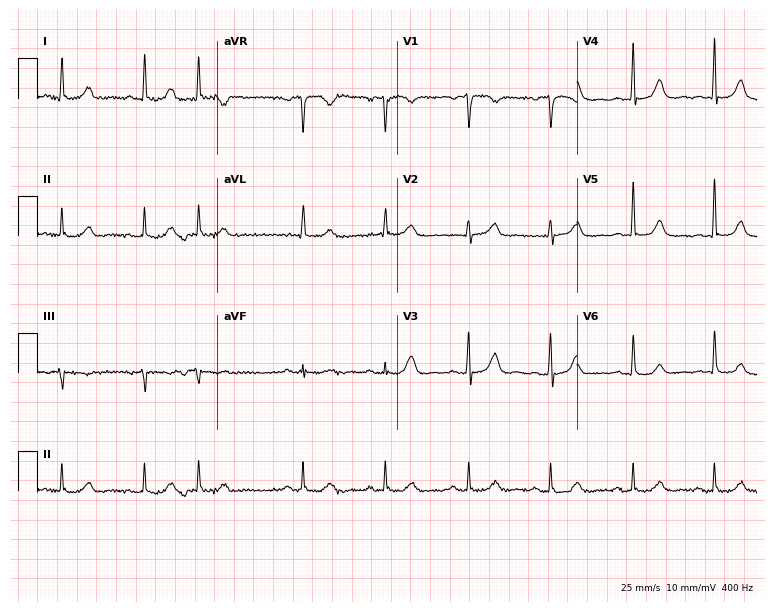
12-lead ECG from a 74-year-old woman. Labelled as a normal ECG.